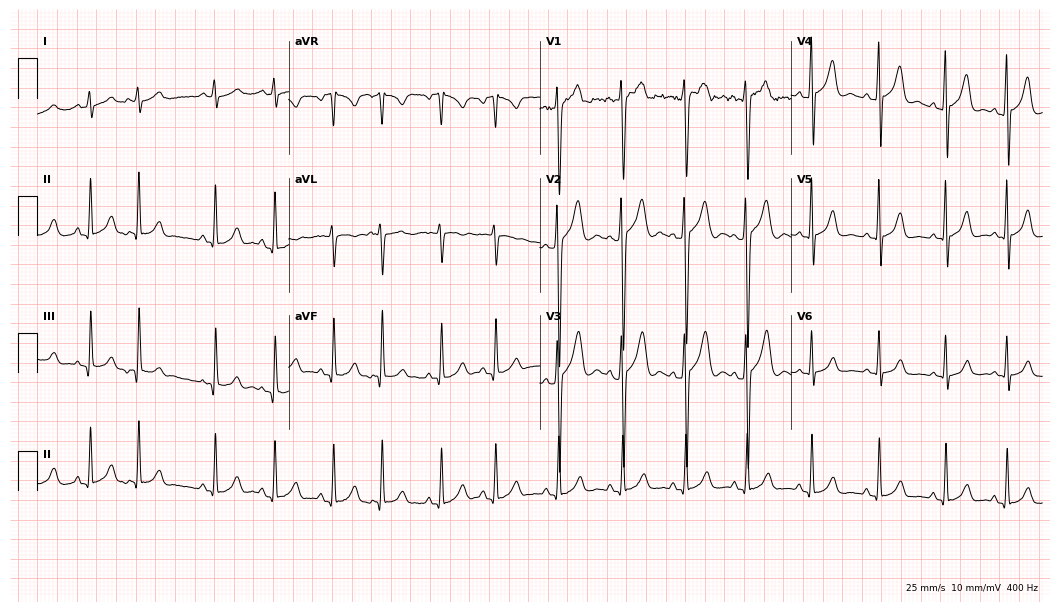
Electrocardiogram (10.2-second recording at 400 Hz), a 17-year-old man. Overall reading on record: normal ECG.